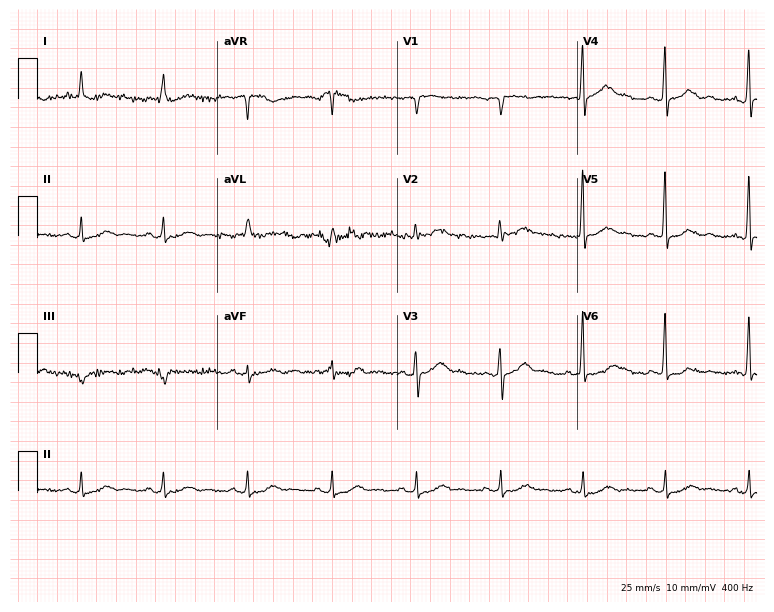
Resting 12-lead electrocardiogram (7.3-second recording at 400 Hz). Patient: a 73-year-old female. None of these six findings is recorded: first-degree AV block, right bundle branch block, left bundle branch block, sinus bradycardia, atrial fibrillation, sinus tachycardia.